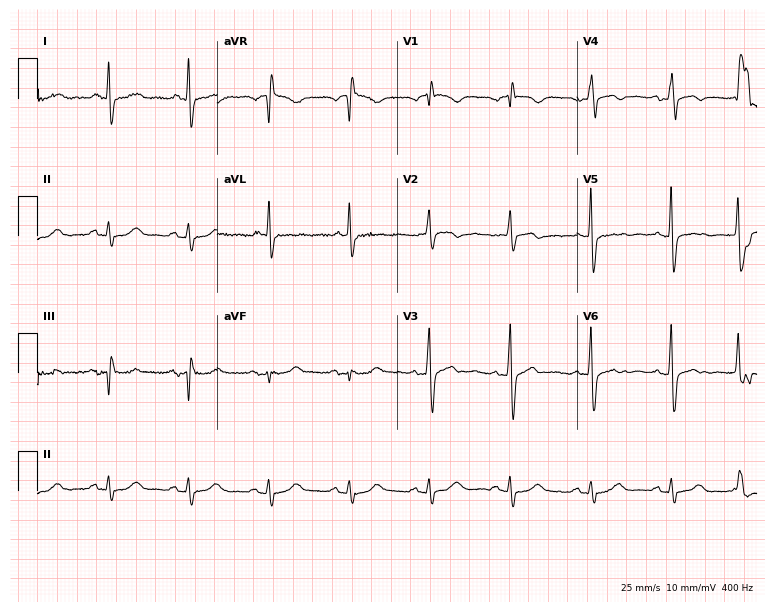
Electrocardiogram, a male patient, 74 years old. Of the six screened findings (first-degree AV block, right bundle branch block, left bundle branch block, sinus bradycardia, atrial fibrillation, sinus tachycardia), none is recorded. Only these six findings were labelled.